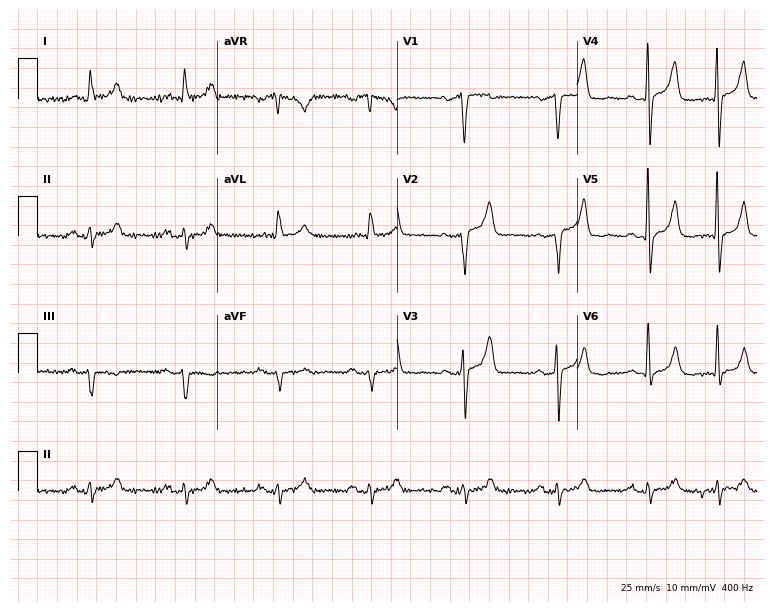
Electrocardiogram, a 64-year-old man. Of the six screened findings (first-degree AV block, right bundle branch block, left bundle branch block, sinus bradycardia, atrial fibrillation, sinus tachycardia), none is recorded. Other findings, if any, are not listed.